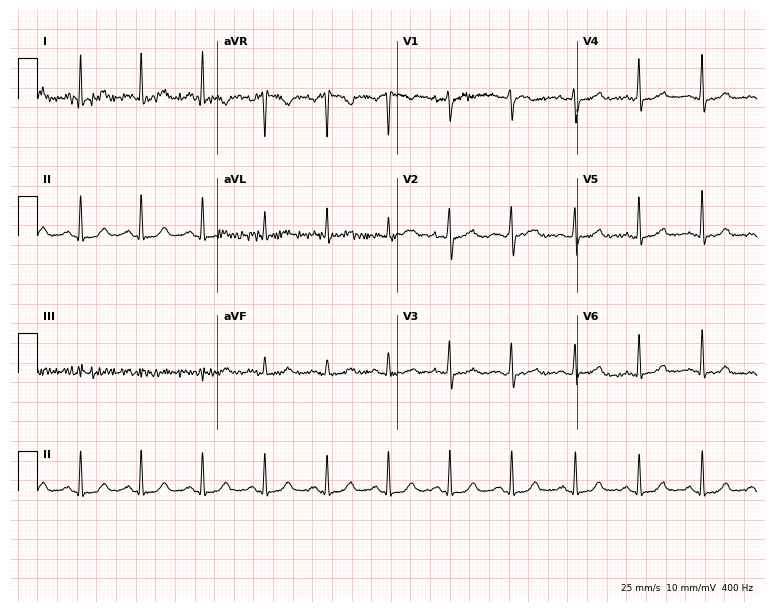
Resting 12-lead electrocardiogram (7.3-second recording at 400 Hz). Patient: a 43-year-old woman. None of these six findings is recorded: first-degree AV block, right bundle branch block (RBBB), left bundle branch block (LBBB), sinus bradycardia, atrial fibrillation (AF), sinus tachycardia.